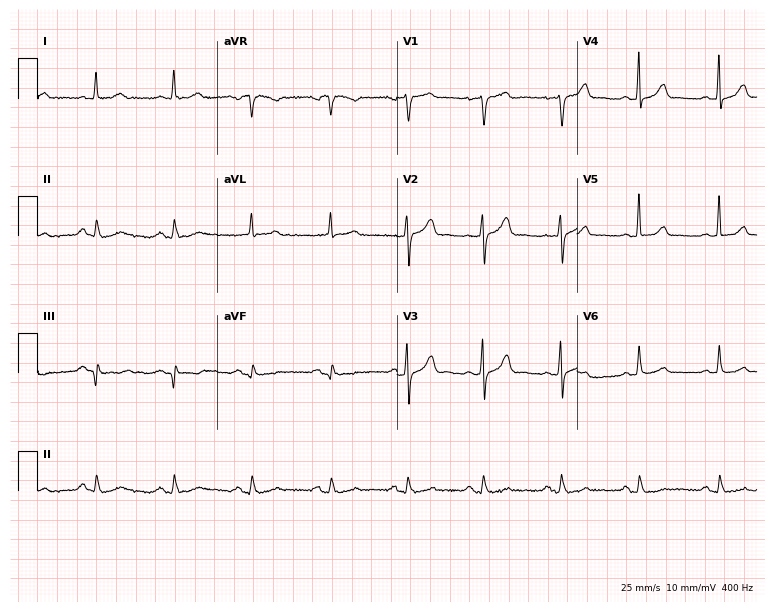
Standard 12-lead ECG recorded from a 70-year-old male patient (7.3-second recording at 400 Hz). Read as a normal ECG.